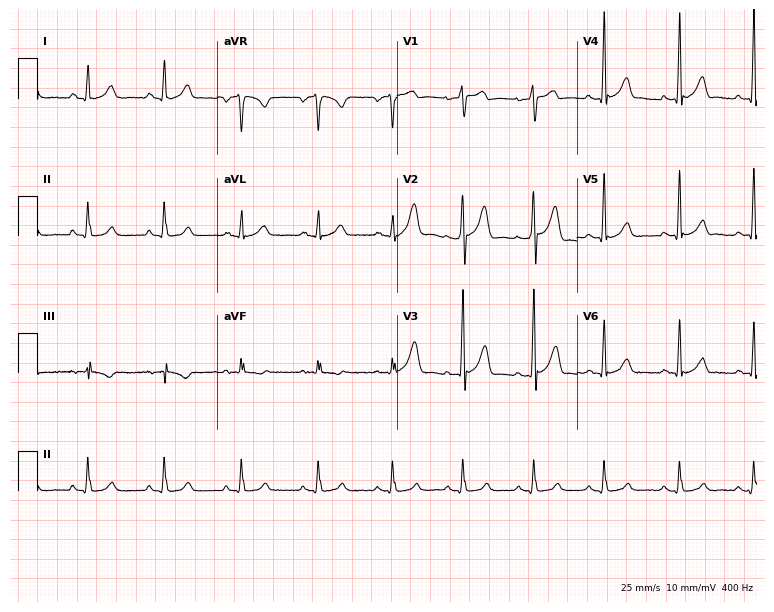
12-lead ECG (7.3-second recording at 400 Hz) from a 30-year-old male patient. Screened for six findings — first-degree AV block, right bundle branch block, left bundle branch block, sinus bradycardia, atrial fibrillation, sinus tachycardia — none is recorded.